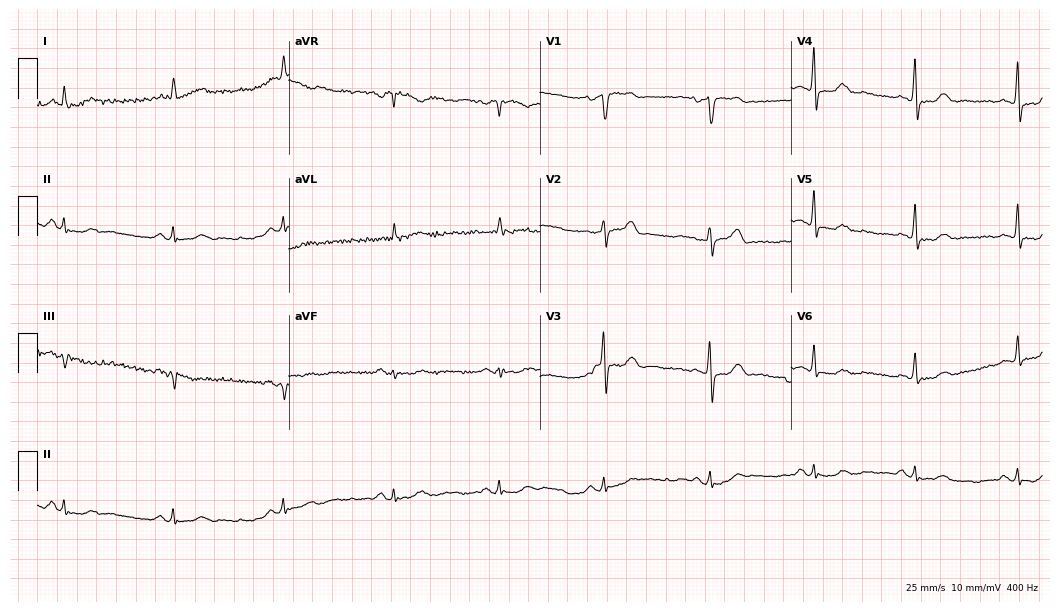
Standard 12-lead ECG recorded from a 74-year-old male patient (10.2-second recording at 400 Hz). None of these six findings is recorded: first-degree AV block, right bundle branch block, left bundle branch block, sinus bradycardia, atrial fibrillation, sinus tachycardia. Findings outside these six are not listed.